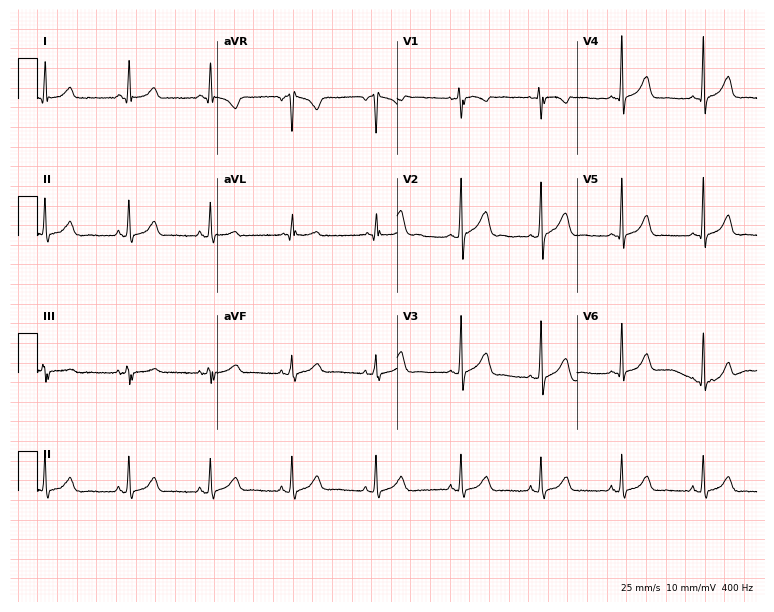
Resting 12-lead electrocardiogram (7.3-second recording at 400 Hz). Patient: a female, 32 years old. Read as a normal ECG.